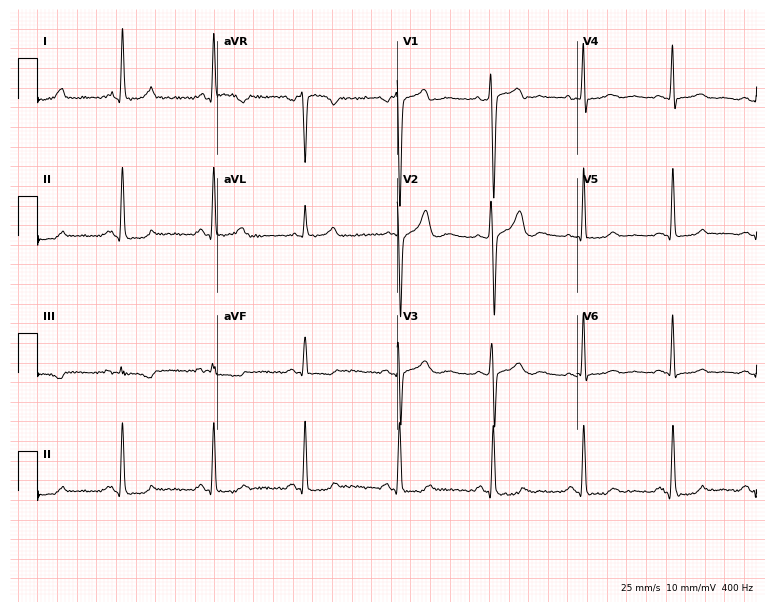
Electrocardiogram, a female patient, 37 years old. Of the six screened findings (first-degree AV block, right bundle branch block, left bundle branch block, sinus bradycardia, atrial fibrillation, sinus tachycardia), none is recorded.